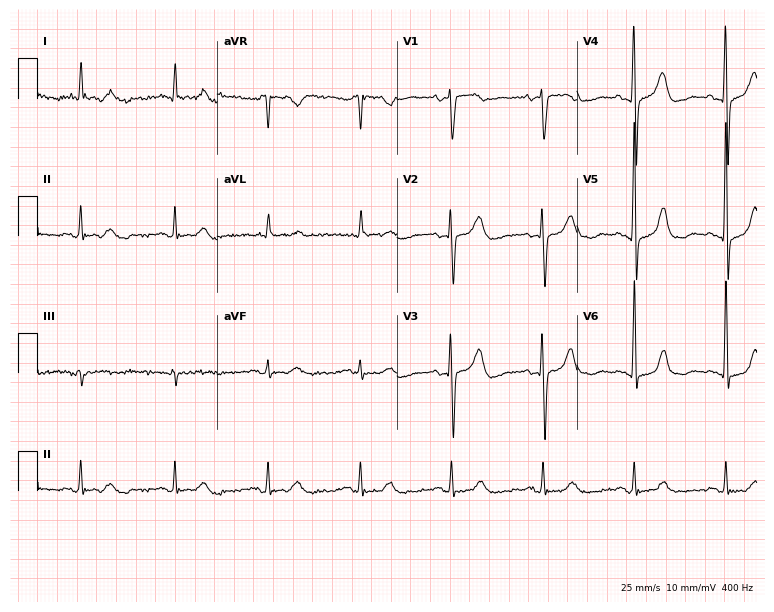
ECG — an 85-year-old male. Screened for six findings — first-degree AV block, right bundle branch block, left bundle branch block, sinus bradycardia, atrial fibrillation, sinus tachycardia — none is recorded. Only these six findings were labelled.